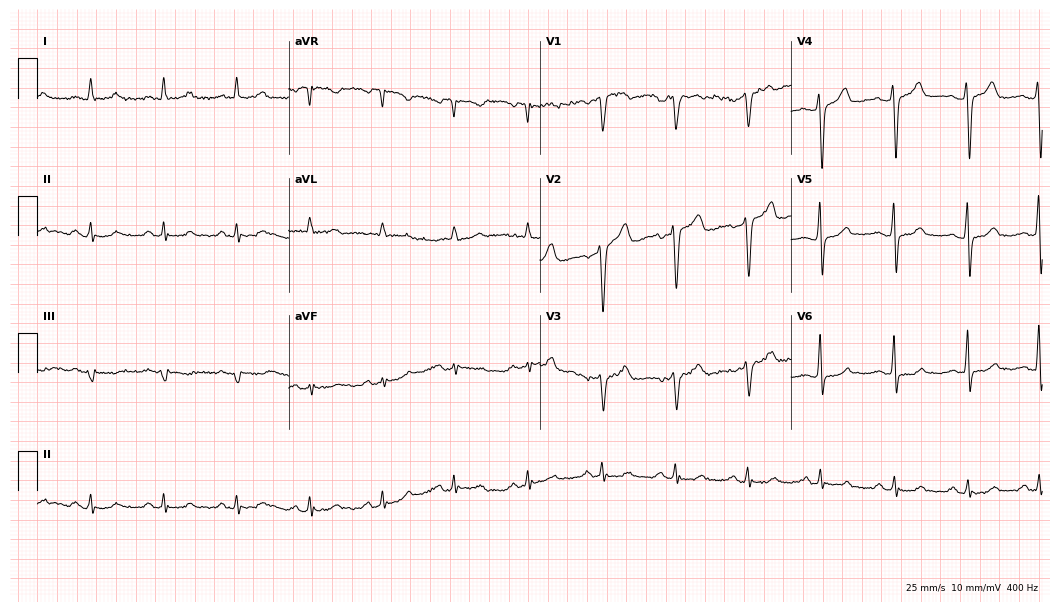
Electrocardiogram (10.2-second recording at 400 Hz), a 69-year-old male. Overall reading on record: normal ECG.